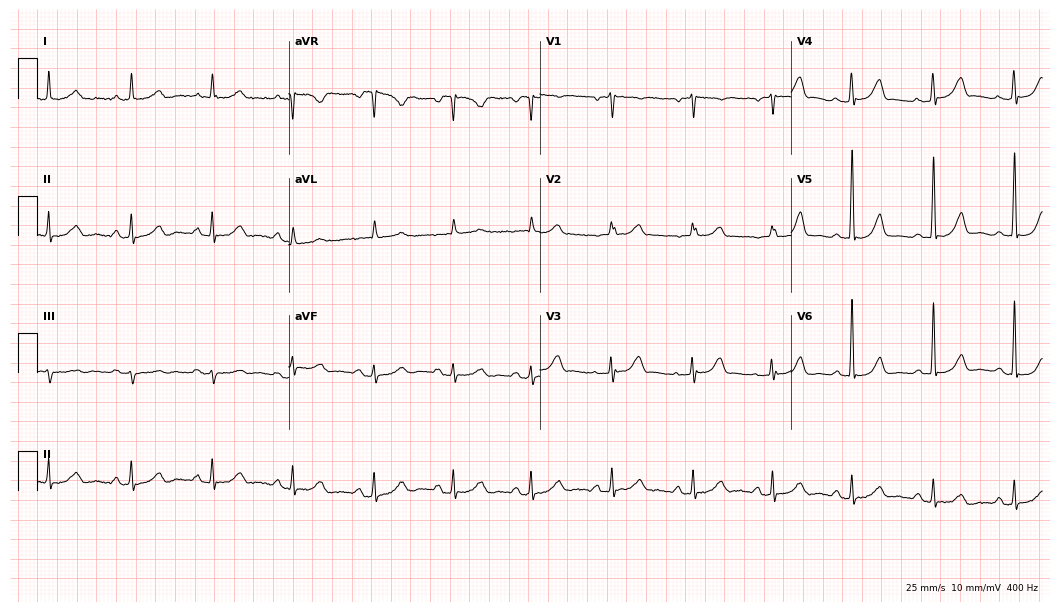
12-lead ECG from a woman, 71 years old. Labelled as a normal ECG.